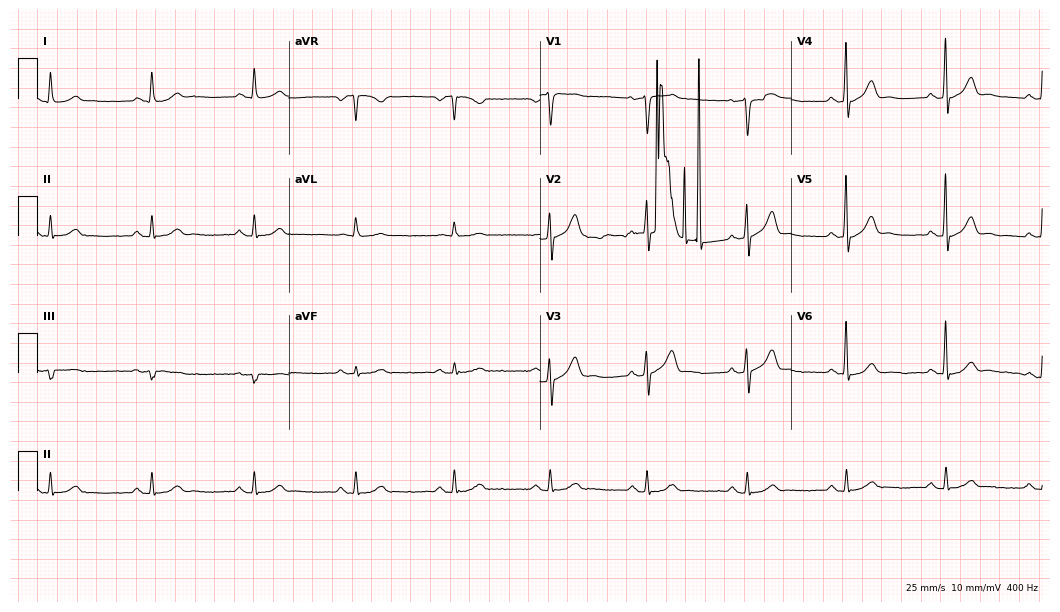
12-lead ECG from a 63-year-old man. Recorded interpretation: within normal limits.